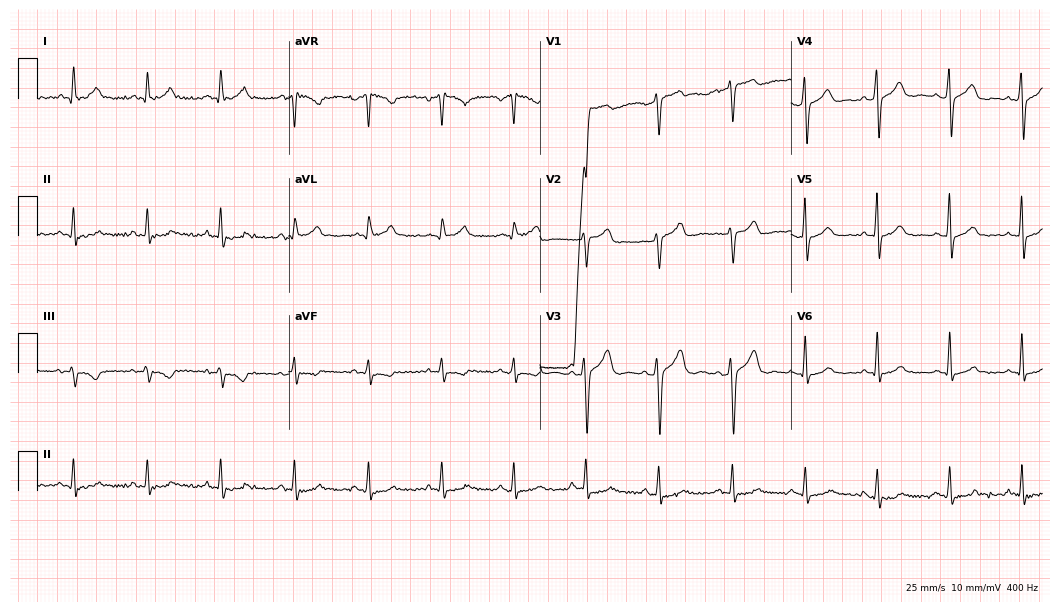
Standard 12-lead ECG recorded from a 56-year-old woman (10.2-second recording at 400 Hz). None of these six findings is recorded: first-degree AV block, right bundle branch block, left bundle branch block, sinus bradycardia, atrial fibrillation, sinus tachycardia. Other findings, if any, are not listed.